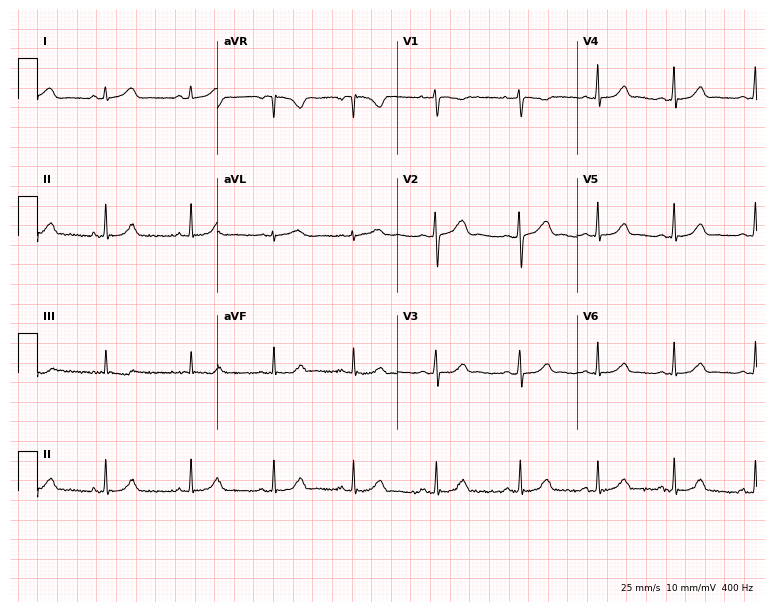
Electrocardiogram (7.3-second recording at 400 Hz), a female patient, 21 years old. Overall reading on record: normal ECG.